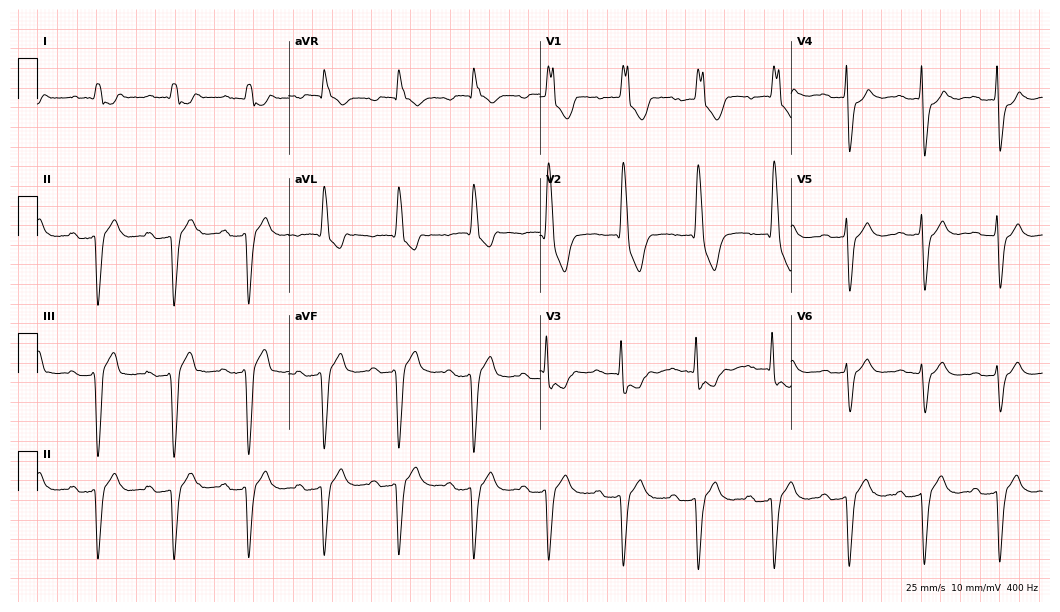
Standard 12-lead ECG recorded from a female, 83 years old. The tracing shows first-degree AV block, right bundle branch block (RBBB).